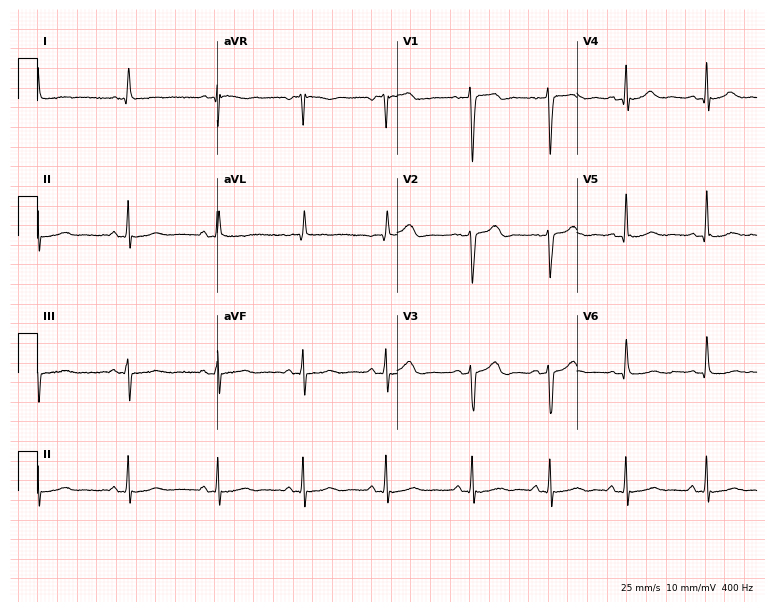
12-lead ECG from a female, 52 years old (7.3-second recording at 400 Hz). No first-degree AV block, right bundle branch block (RBBB), left bundle branch block (LBBB), sinus bradycardia, atrial fibrillation (AF) or sinus tachycardia recorded for this tracing.